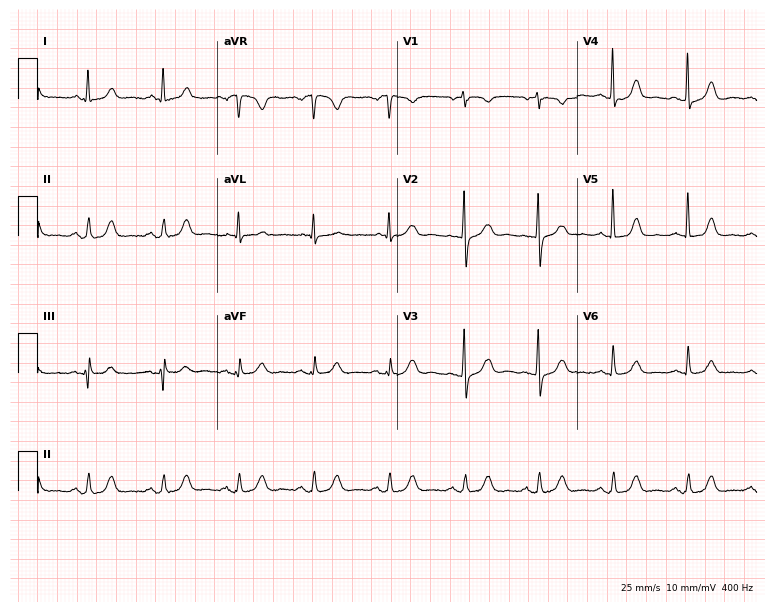
12-lead ECG from a 64-year-old female patient (7.3-second recording at 400 Hz). Recorded interpretation: within normal limits.